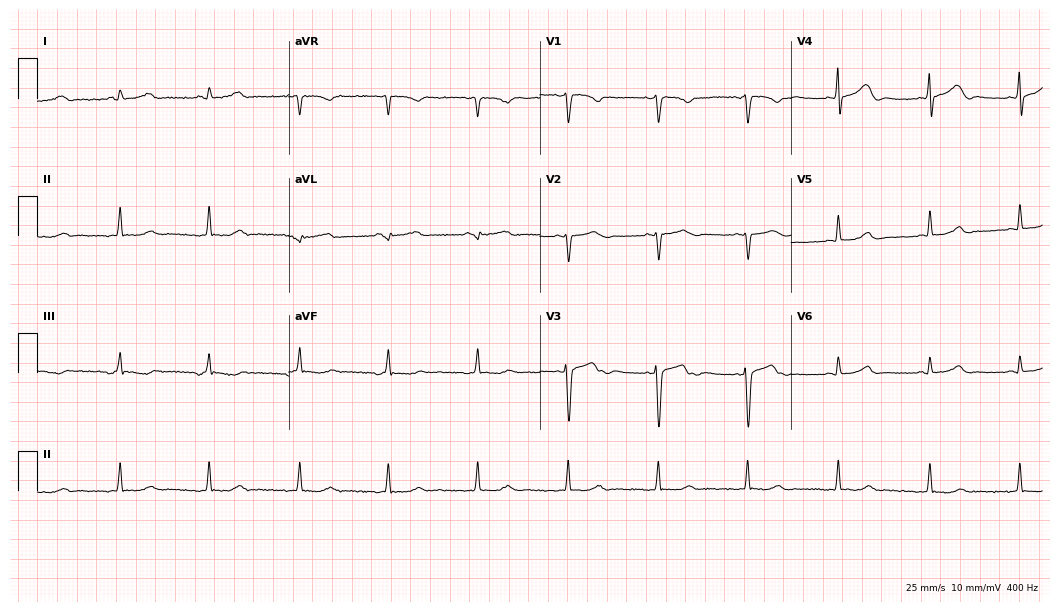
12-lead ECG from a female, 42 years old. Screened for six findings — first-degree AV block, right bundle branch block (RBBB), left bundle branch block (LBBB), sinus bradycardia, atrial fibrillation (AF), sinus tachycardia — none is recorded.